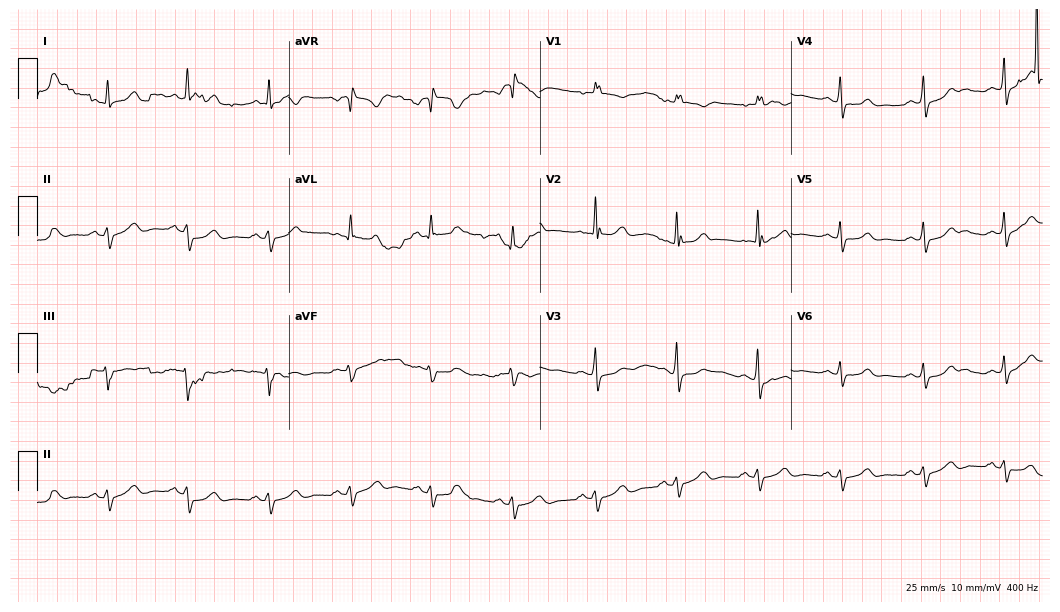
Electrocardiogram (10.2-second recording at 400 Hz), a woman, 56 years old. Of the six screened findings (first-degree AV block, right bundle branch block, left bundle branch block, sinus bradycardia, atrial fibrillation, sinus tachycardia), none is recorded. Other findings, if any, are not listed.